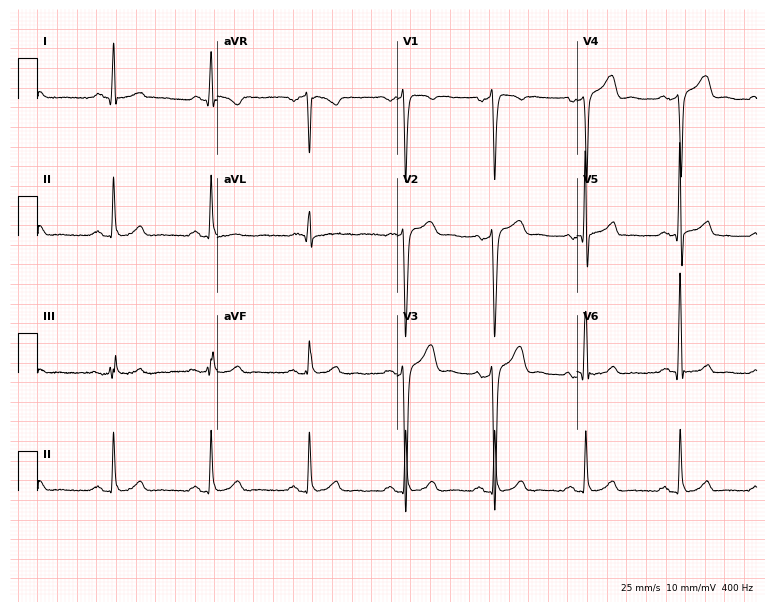
Electrocardiogram (7.3-second recording at 400 Hz), a male patient, 39 years old. Of the six screened findings (first-degree AV block, right bundle branch block (RBBB), left bundle branch block (LBBB), sinus bradycardia, atrial fibrillation (AF), sinus tachycardia), none is recorded.